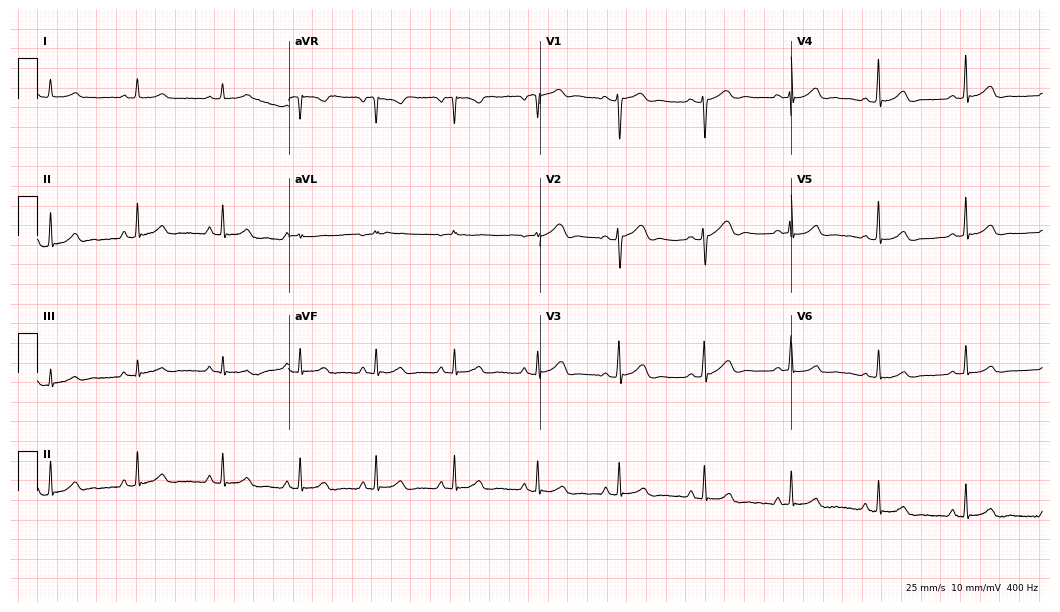
Electrocardiogram (10.2-second recording at 400 Hz), a 22-year-old female patient. Overall reading on record: normal ECG.